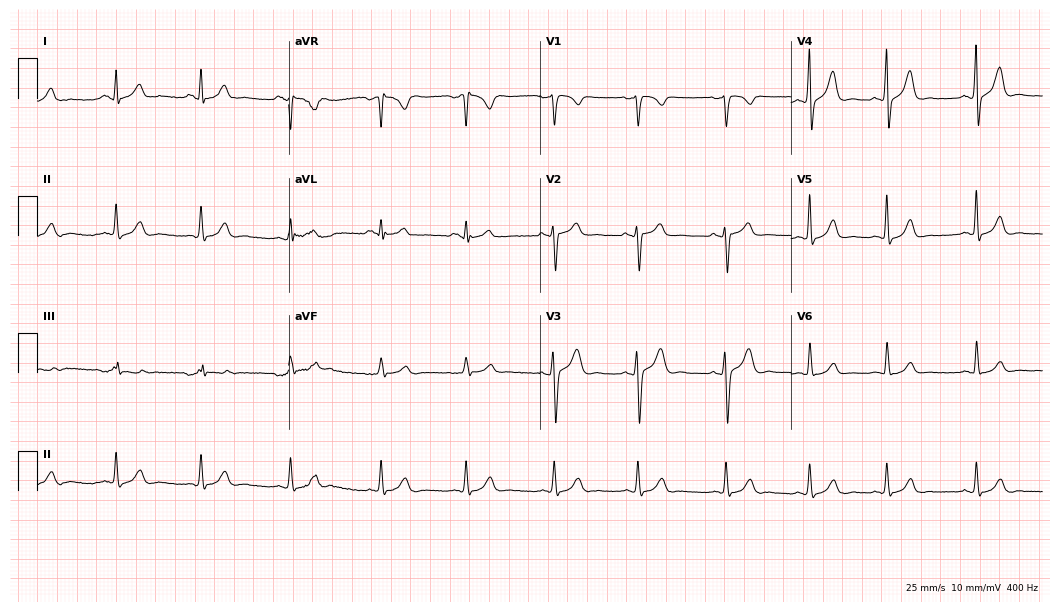
12-lead ECG from a man, 30 years old. Labelled as a normal ECG.